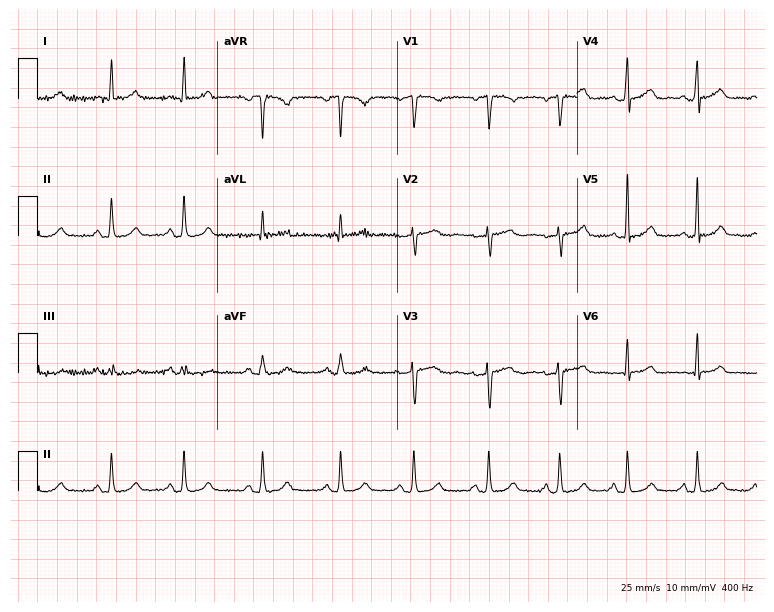
12-lead ECG from a female patient, 21 years old. Recorded interpretation: within normal limits.